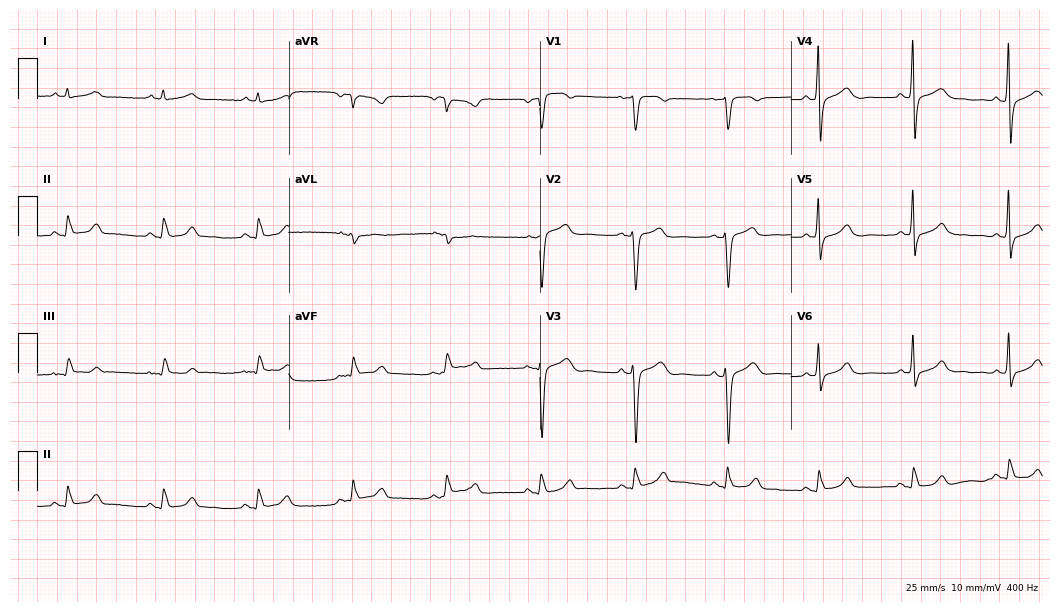
Electrocardiogram, a 75-year-old male patient. Of the six screened findings (first-degree AV block, right bundle branch block, left bundle branch block, sinus bradycardia, atrial fibrillation, sinus tachycardia), none is recorded. Findings outside these six are not listed.